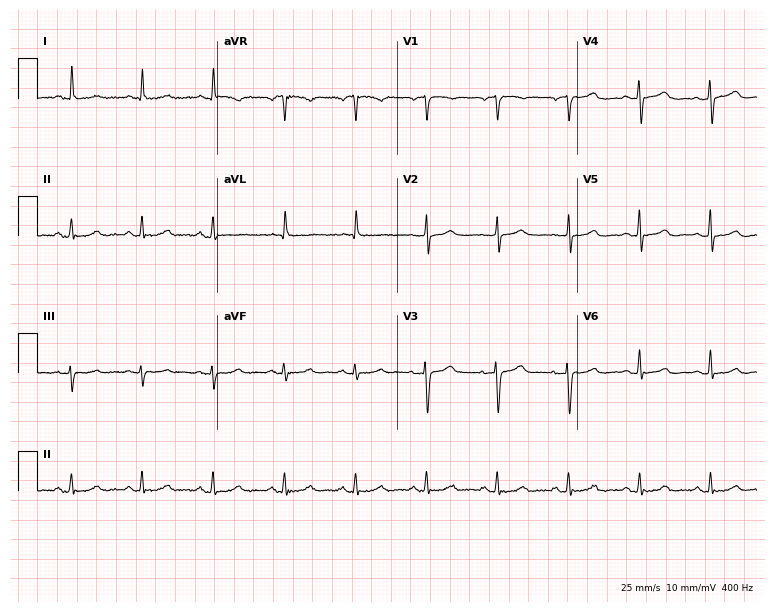
Electrocardiogram, a male patient, 68 years old. Of the six screened findings (first-degree AV block, right bundle branch block (RBBB), left bundle branch block (LBBB), sinus bradycardia, atrial fibrillation (AF), sinus tachycardia), none is recorded.